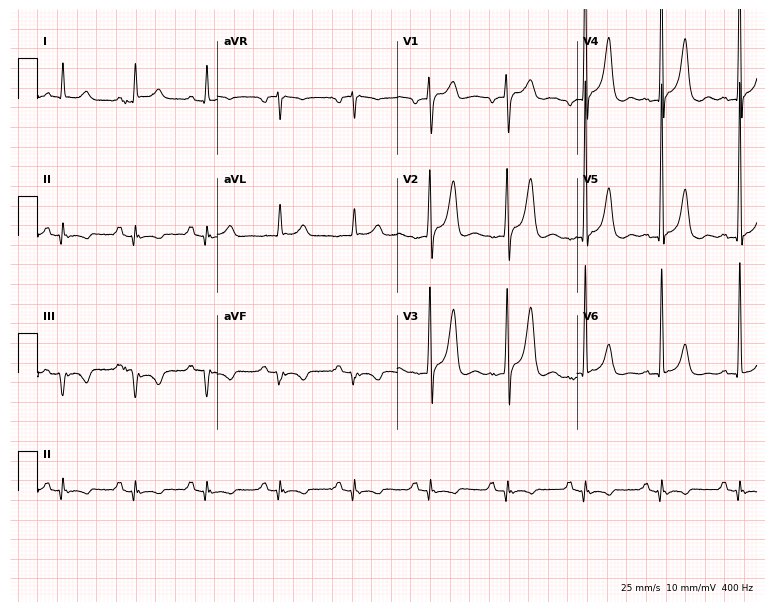
ECG — a man, 82 years old. Screened for six findings — first-degree AV block, right bundle branch block, left bundle branch block, sinus bradycardia, atrial fibrillation, sinus tachycardia — none is recorded. Only these six findings were labelled.